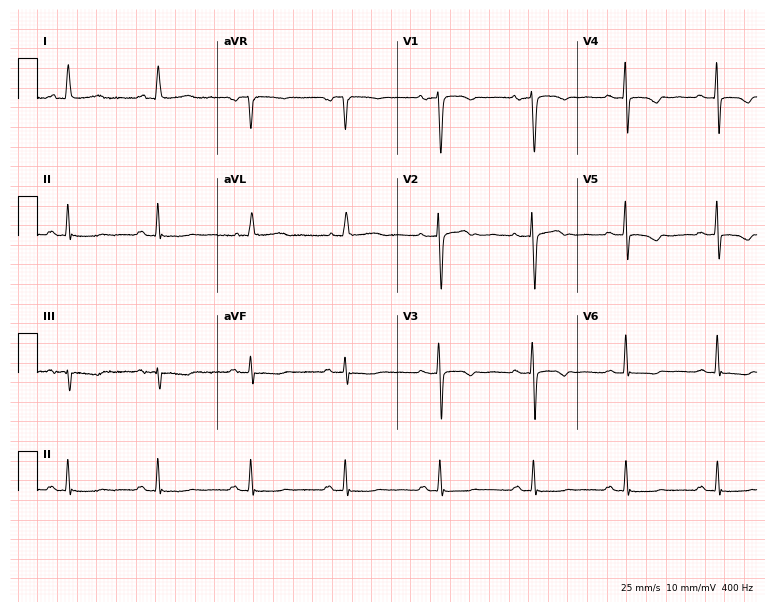
Electrocardiogram, a 59-year-old female. Of the six screened findings (first-degree AV block, right bundle branch block, left bundle branch block, sinus bradycardia, atrial fibrillation, sinus tachycardia), none is recorded.